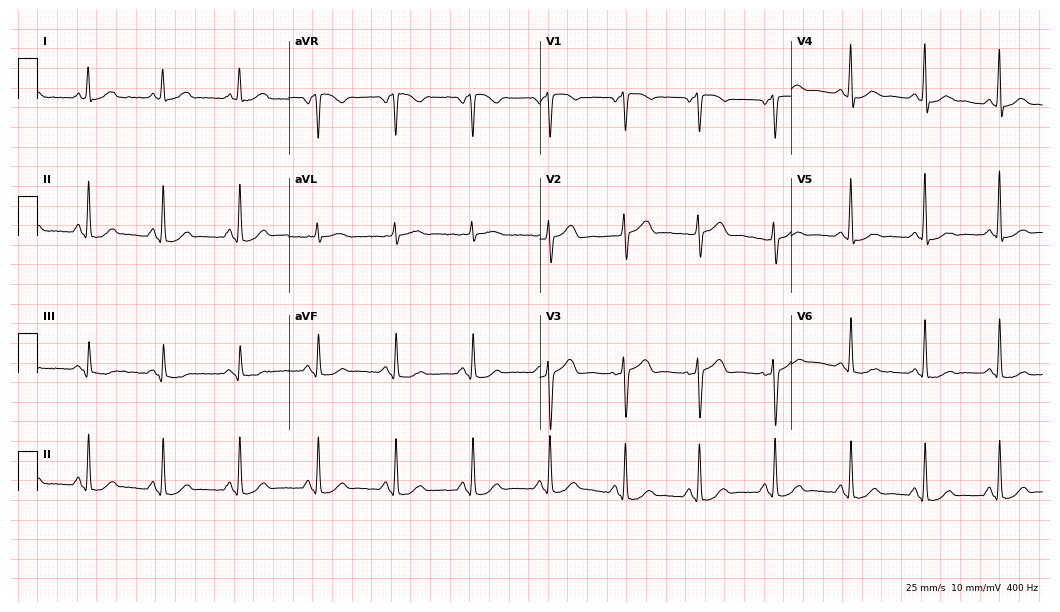
Standard 12-lead ECG recorded from a female, 56 years old (10.2-second recording at 400 Hz). None of these six findings is recorded: first-degree AV block, right bundle branch block (RBBB), left bundle branch block (LBBB), sinus bradycardia, atrial fibrillation (AF), sinus tachycardia.